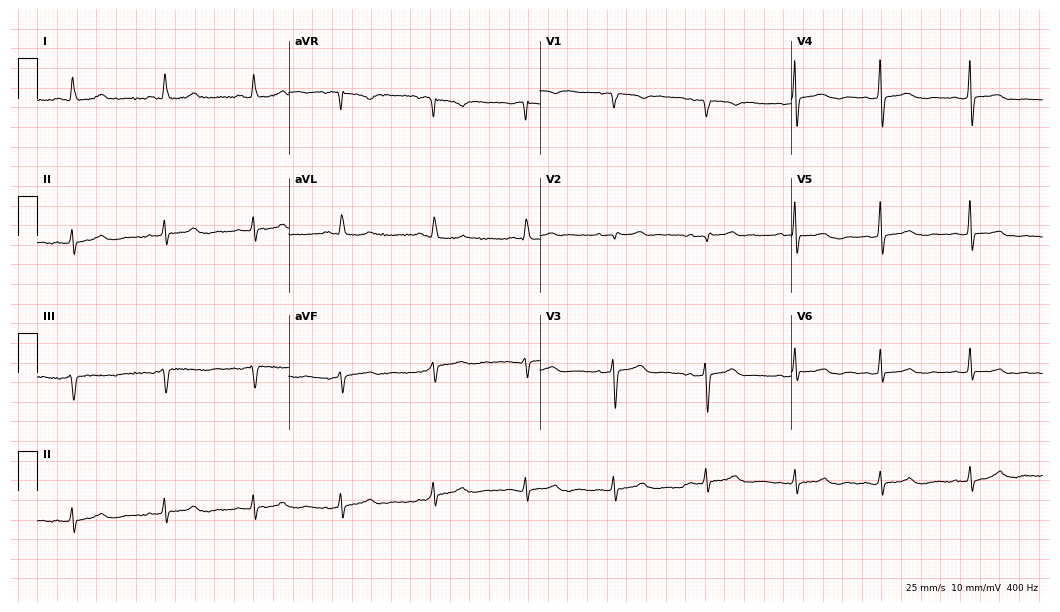
Standard 12-lead ECG recorded from a woman, 56 years old. None of these six findings is recorded: first-degree AV block, right bundle branch block (RBBB), left bundle branch block (LBBB), sinus bradycardia, atrial fibrillation (AF), sinus tachycardia.